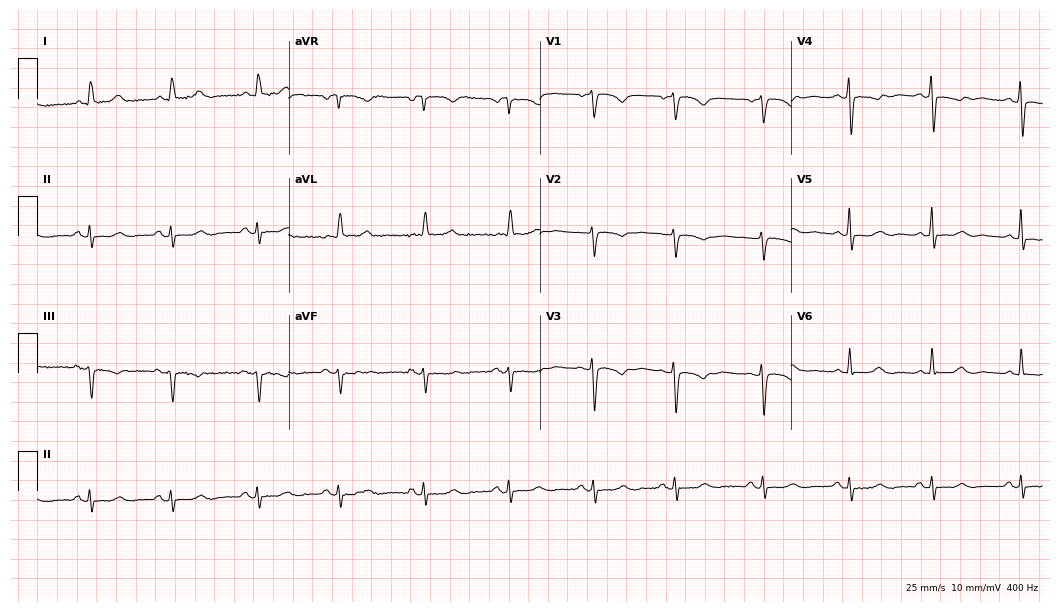
ECG — a female patient, 73 years old. Screened for six findings — first-degree AV block, right bundle branch block, left bundle branch block, sinus bradycardia, atrial fibrillation, sinus tachycardia — none is recorded. Findings outside these six are not listed.